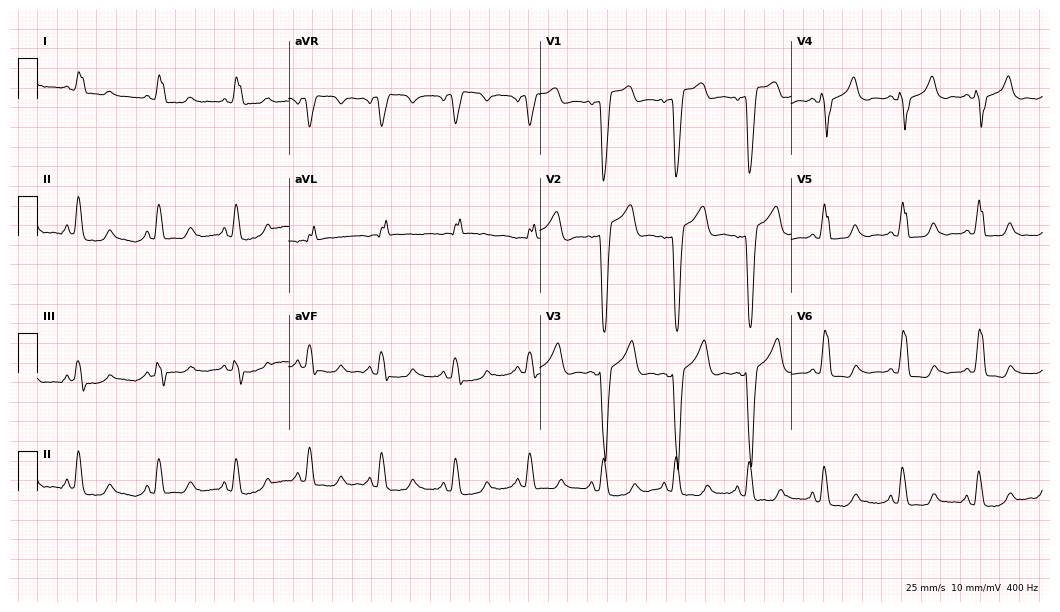
12-lead ECG (10.2-second recording at 400 Hz) from a 59-year-old female patient. Findings include left bundle branch block.